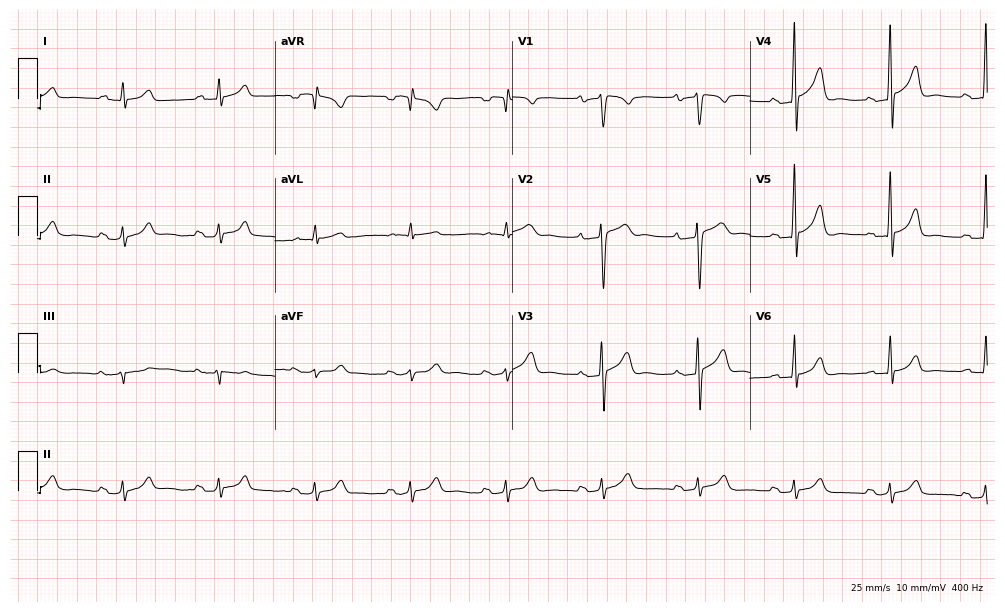
Standard 12-lead ECG recorded from a 74-year-old man. Read as a normal ECG.